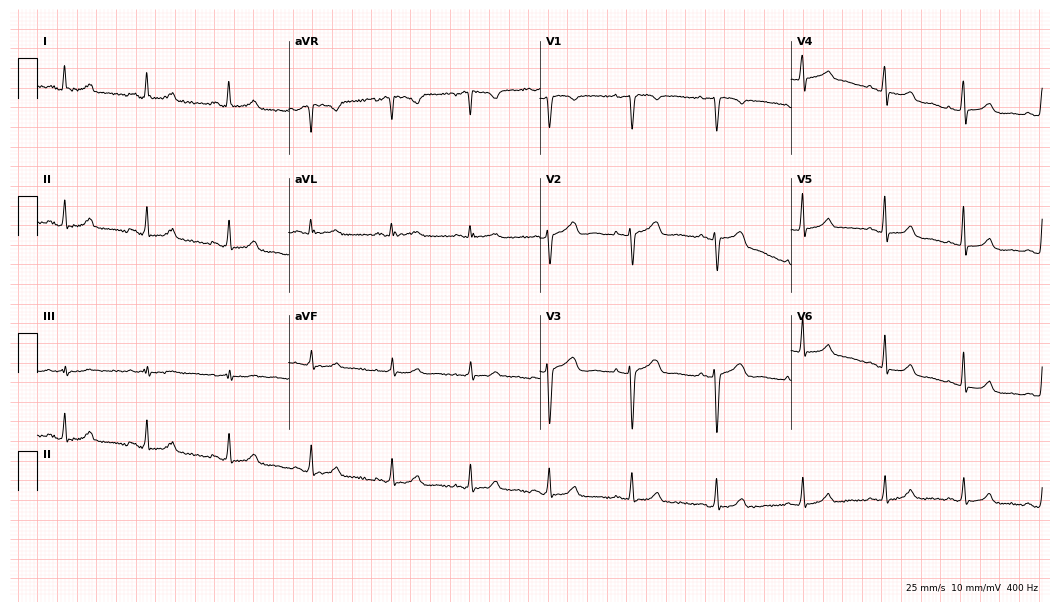
Resting 12-lead electrocardiogram (10.2-second recording at 400 Hz). Patient: a 36-year-old female. Read as a normal ECG.